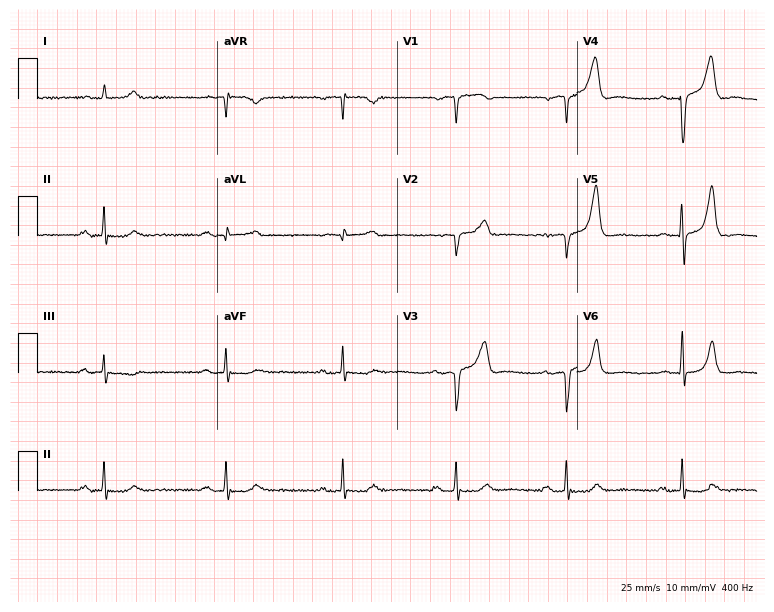
Standard 12-lead ECG recorded from an 84-year-old male patient. The tracing shows sinus bradycardia (a sinus rate of 50 beats per minute or less).